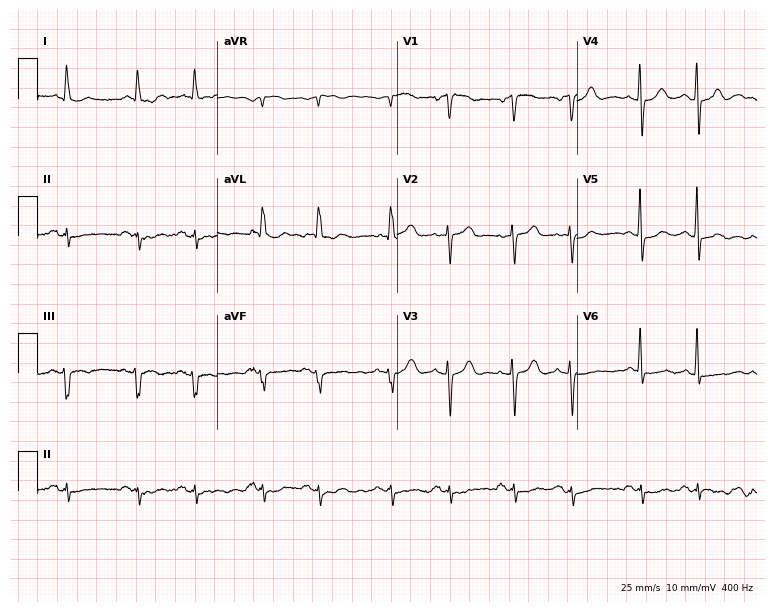
Resting 12-lead electrocardiogram (7.3-second recording at 400 Hz). Patient: a female, 84 years old. None of these six findings is recorded: first-degree AV block, right bundle branch block, left bundle branch block, sinus bradycardia, atrial fibrillation, sinus tachycardia.